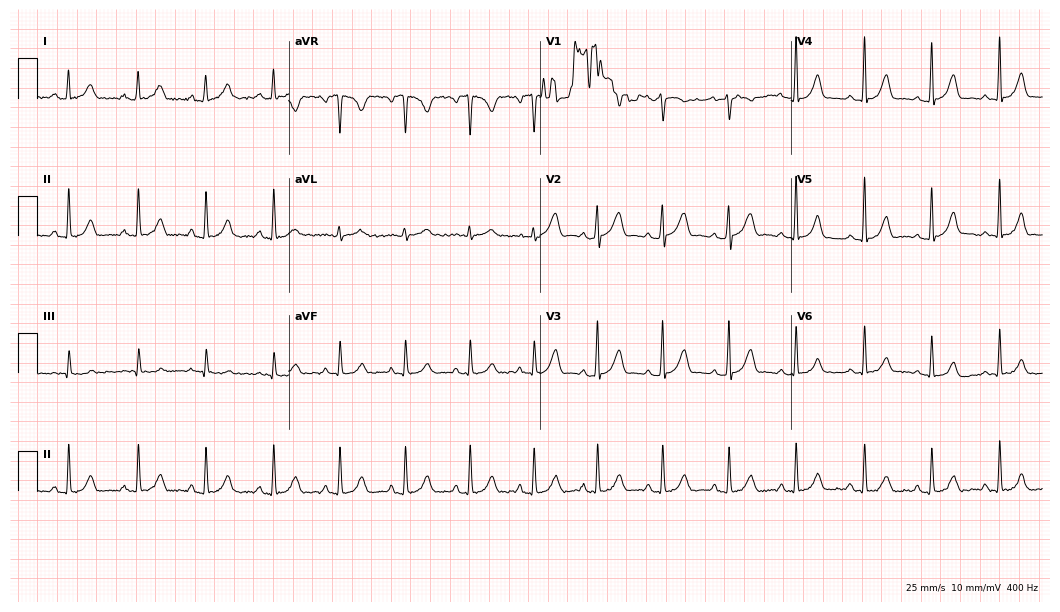
Electrocardiogram, a female patient, 19 years old. Overall reading on record: normal ECG.